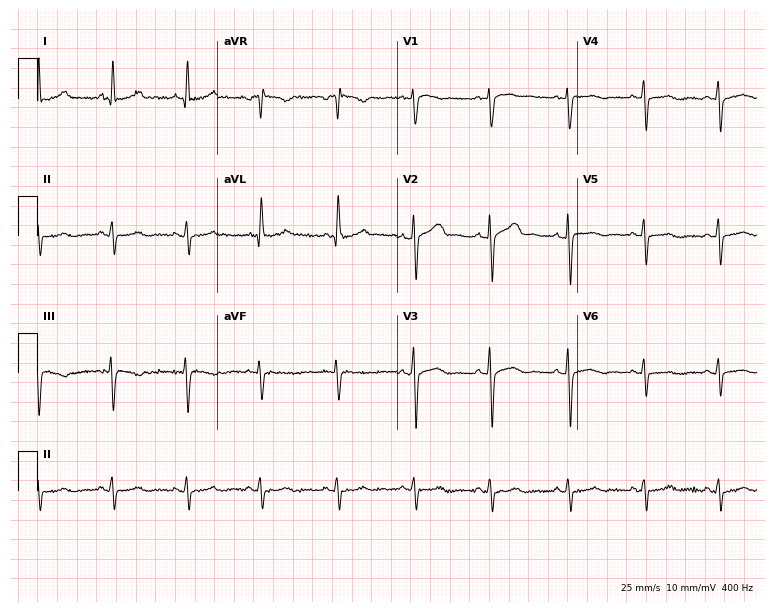
Resting 12-lead electrocardiogram (7.3-second recording at 400 Hz). Patient: a 50-year-old female. None of these six findings is recorded: first-degree AV block, right bundle branch block, left bundle branch block, sinus bradycardia, atrial fibrillation, sinus tachycardia. Findings outside these six are not listed.